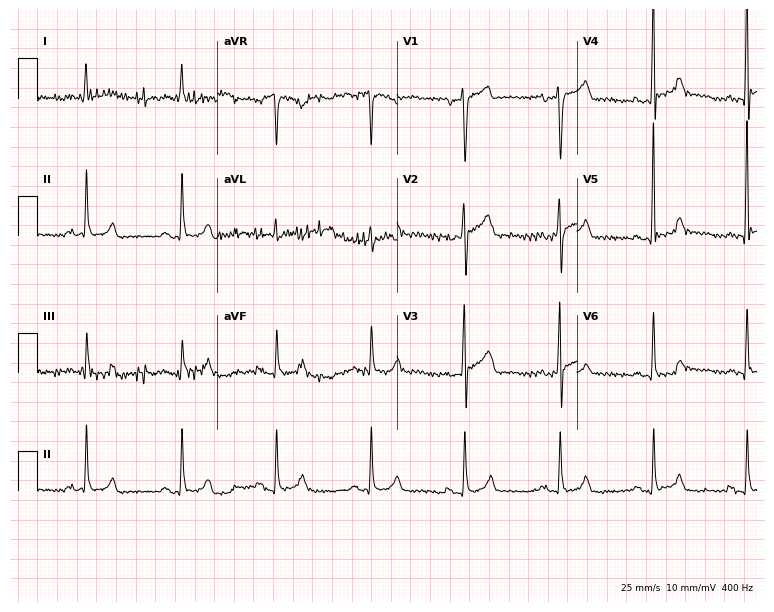
Resting 12-lead electrocardiogram (7.3-second recording at 400 Hz). Patient: a 76-year-old male. None of these six findings is recorded: first-degree AV block, right bundle branch block, left bundle branch block, sinus bradycardia, atrial fibrillation, sinus tachycardia. Only these six findings were labelled.